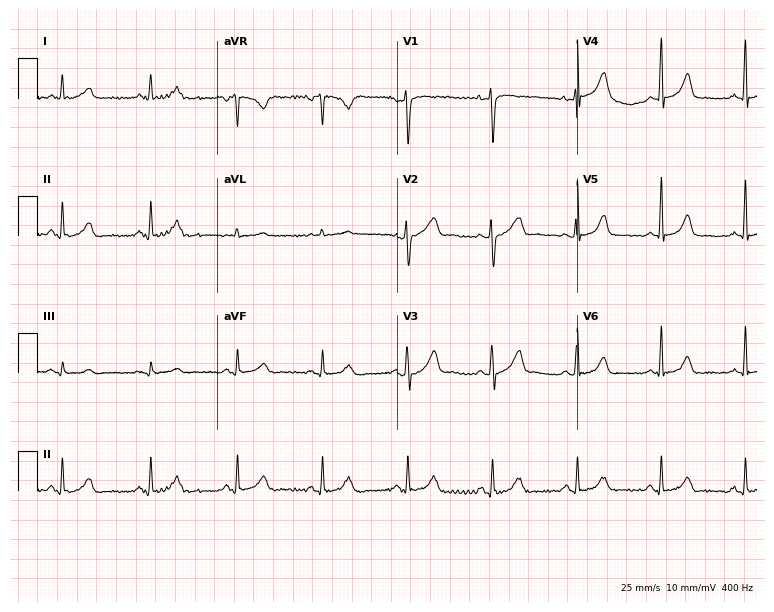
12-lead ECG from a woman, 46 years old. Recorded interpretation: within normal limits.